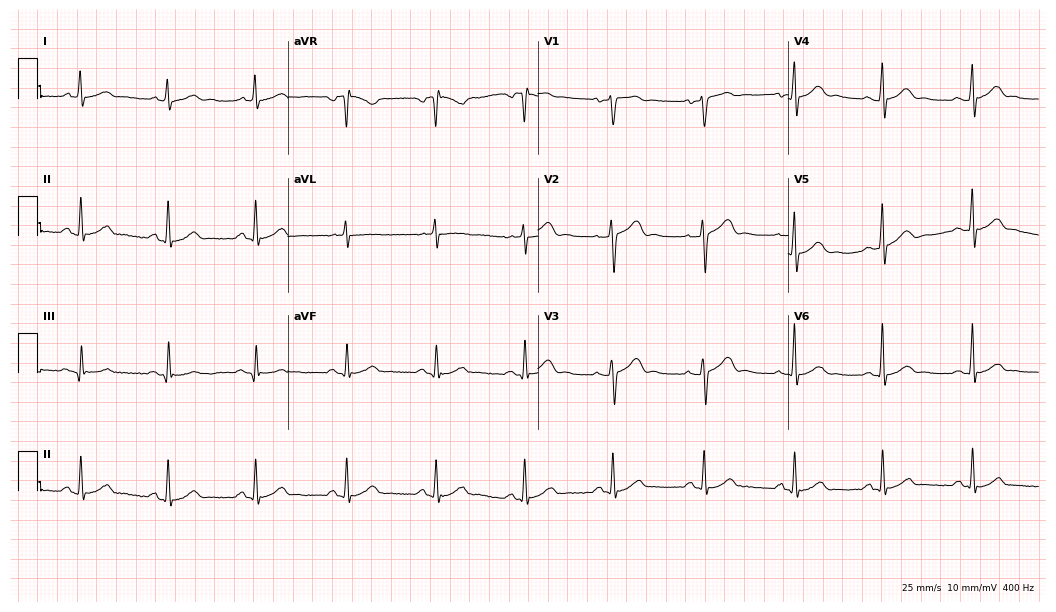
12-lead ECG from a 51-year-old man (10.2-second recording at 400 Hz). Recorded interpretation: within normal limits.